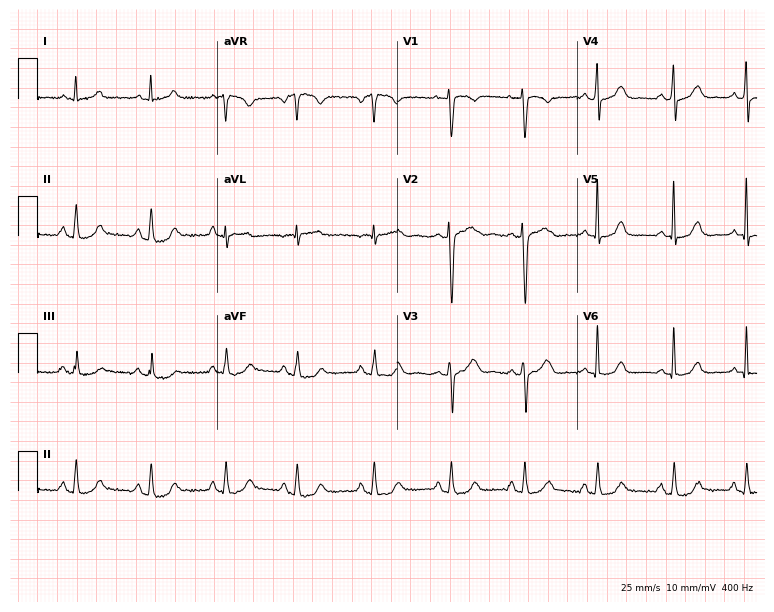
Standard 12-lead ECG recorded from a woman, 35 years old (7.3-second recording at 400 Hz). None of these six findings is recorded: first-degree AV block, right bundle branch block (RBBB), left bundle branch block (LBBB), sinus bradycardia, atrial fibrillation (AF), sinus tachycardia.